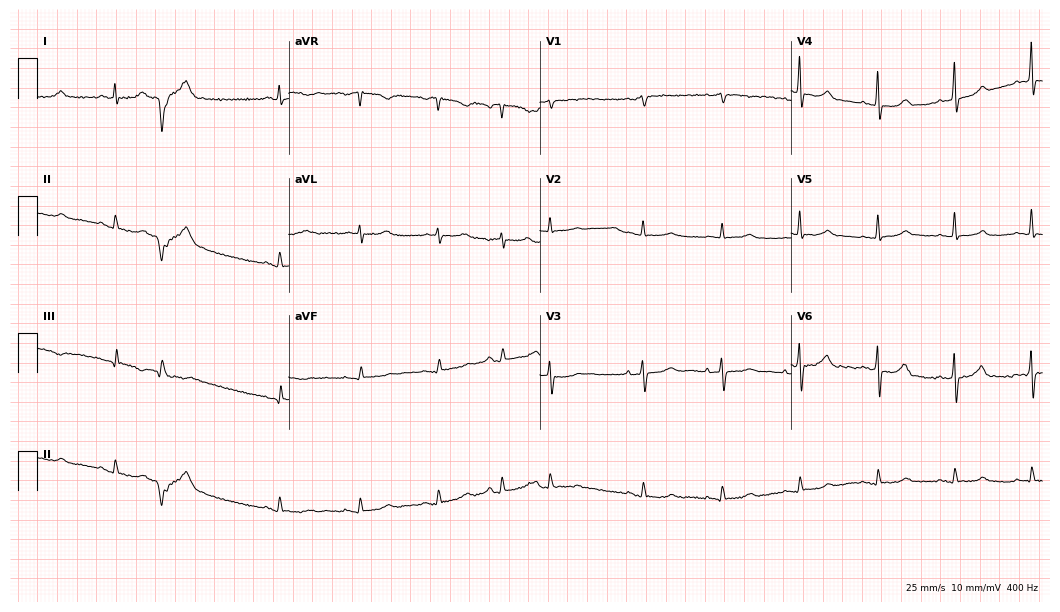
12-lead ECG (10.2-second recording at 400 Hz) from a 75-year-old female patient. Screened for six findings — first-degree AV block, right bundle branch block, left bundle branch block, sinus bradycardia, atrial fibrillation, sinus tachycardia — none is recorded. Findings outside these six are not listed.